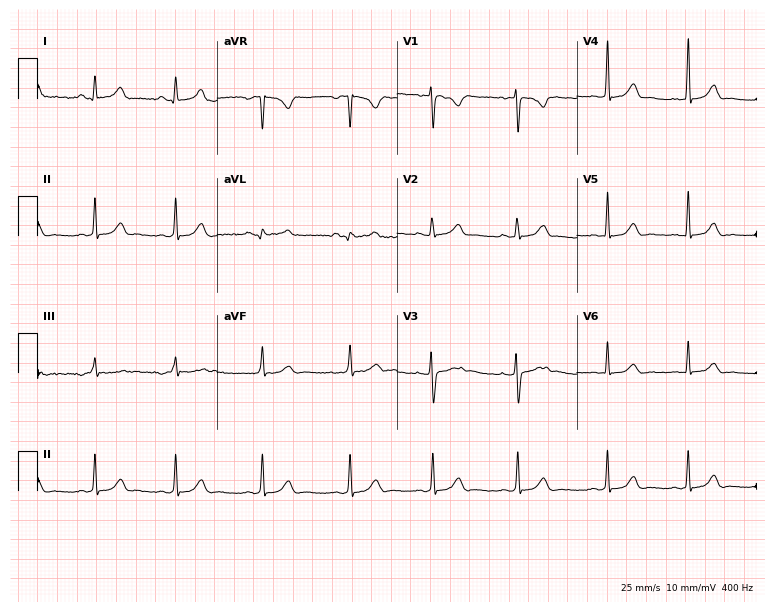
12-lead ECG from a female, 29 years old. Screened for six findings — first-degree AV block, right bundle branch block, left bundle branch block, sinus bradycardia, atrial fibrillation, sinus tachycardia — none is recorded.